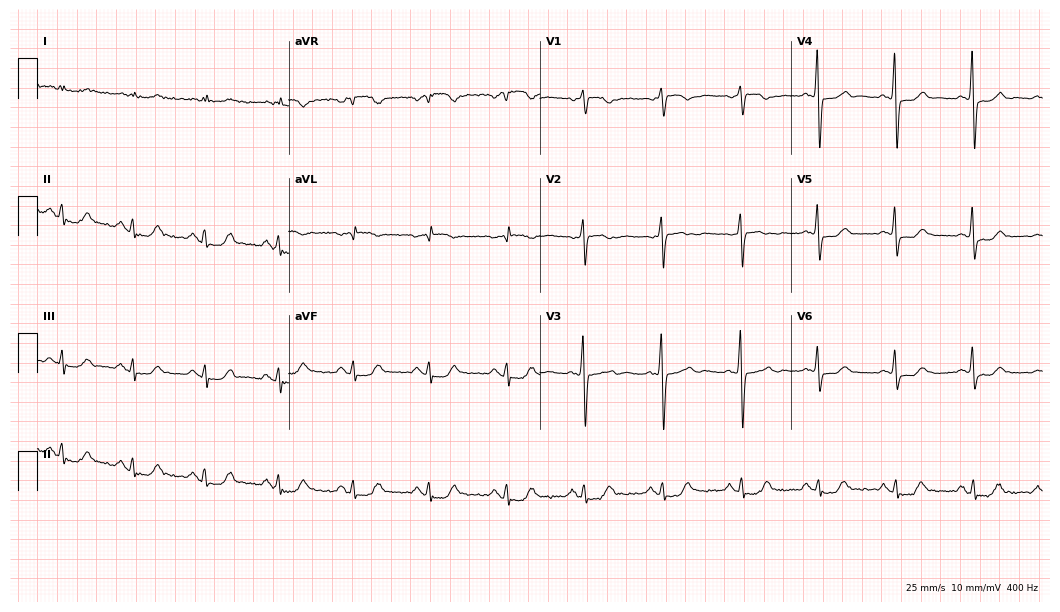
Standard 12-lead ECG recorded from a male, 75 years old (10.2-second recording at 400 Hz). None of these six findings is recorded: first-degree AV block, right bundle branch block, left bundle branch block, sinus bradycardia, atrial fibrillation, sinus tachycardia. Findings outside these six are not listed.